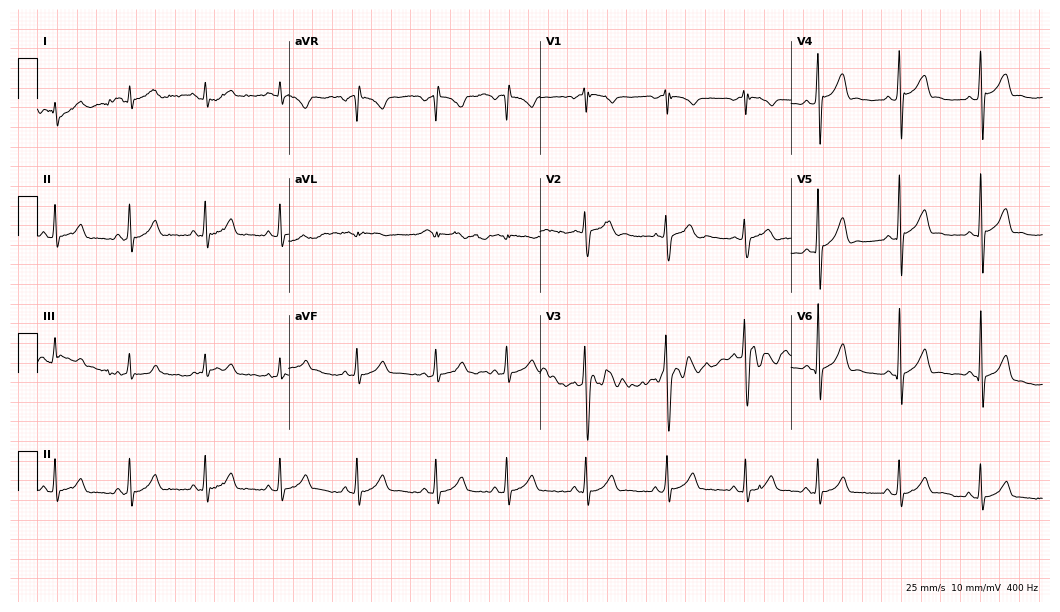
12-lead ECG (10.2-second recording at 400 Hz) from a male, 17 years old. Labelled as a normal ECG.